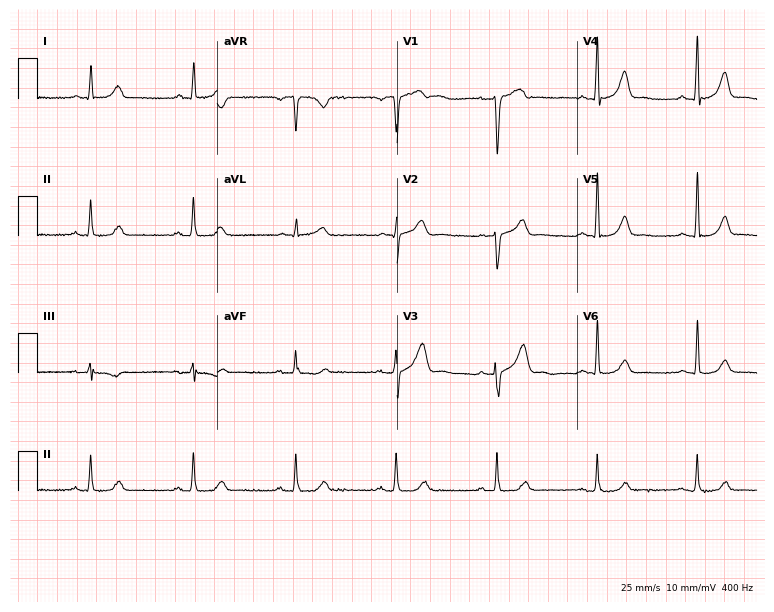
Resting 12-lead electrocardiogram. Patient: a 53-year-old male. None of these six findings is recorded: first-degree AV block, right bundle branch block (RBBB), left bundle branch block (LBBB), sinus bradycardia, atrial fibrillation (AF), sinus tachycardia.